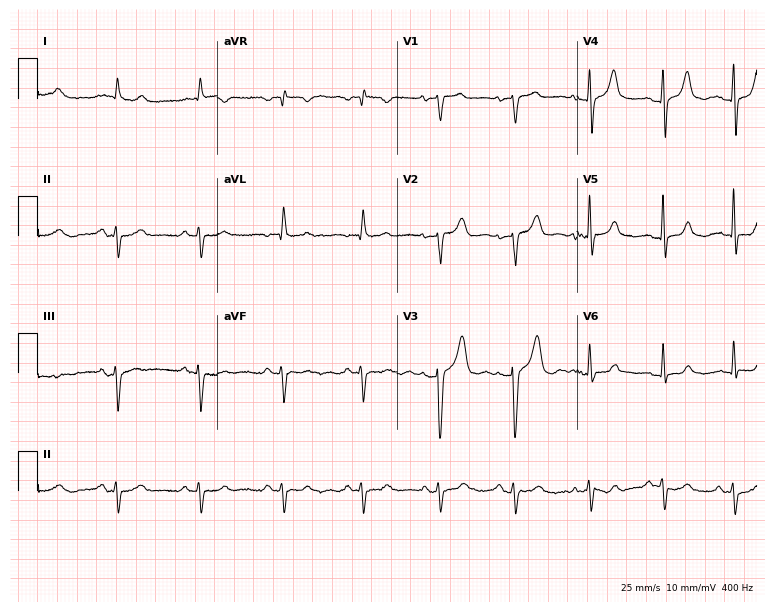
Resting 12-lead electrocardiogram (7.3-second recording at 400 Hz). Patient: a 77-year-old female. None of these six findings is recorded: first-degree AV block, right bundle branch block, left bundle branch block, sinus bradycardia, atrial fibrillation, sinus tachycardia.